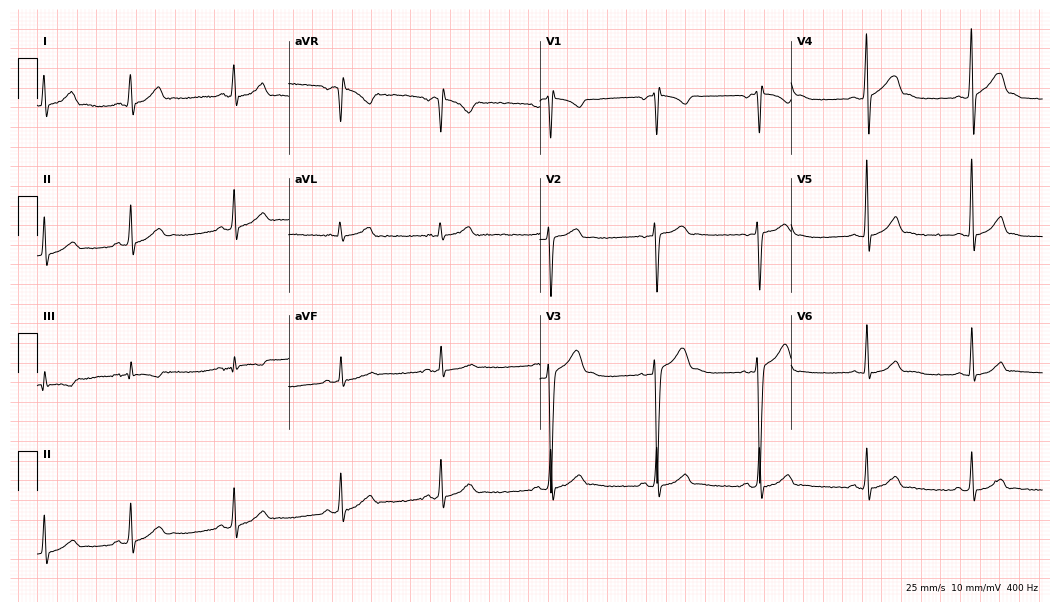
ECG (10.2-second recording at 400 Hz) — a male patient, 17 years old. Labelled as a normal ECG.